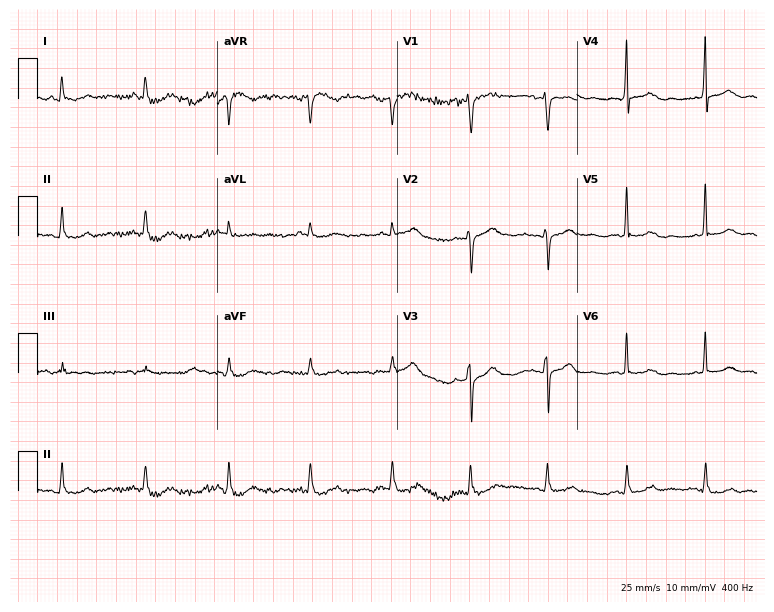
Standard 12-lead ECG recorded from a 70-year-old woman (7.3-second recording at 400 Hz). None of these six findings is recorded: first-degree AV block, right bundle branch block, left bundle branch block, sinus bradycardia, atrial fibrillation, sinus tachycardia. Findings outside these six are not listed.